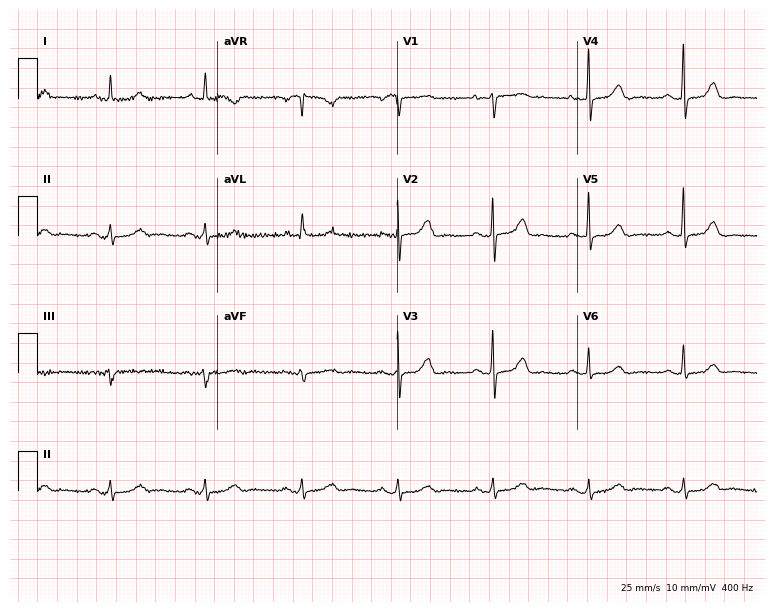
ECG — a 62-year-old female. Labelled as a normal ECG.